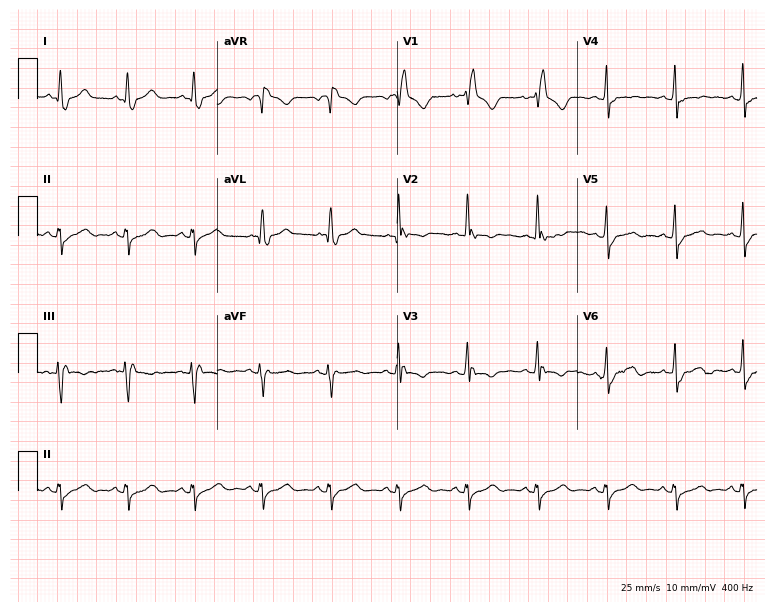
12-lead ECG (7.3-second recording at 400 Hz) from a 64-year-old female patient. Findings include right bundle branch block (RBBB).